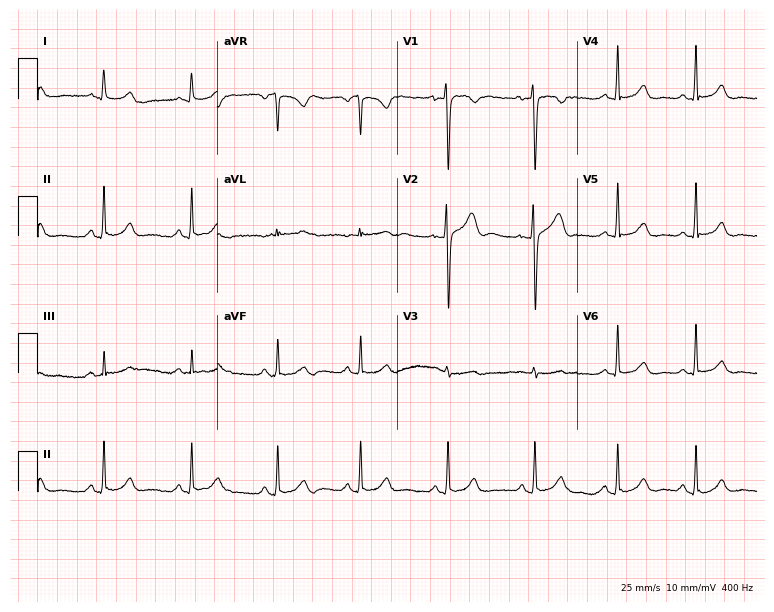
Electrocardiogram, a male, 33 years old. Overall reading on record: normal ECG.